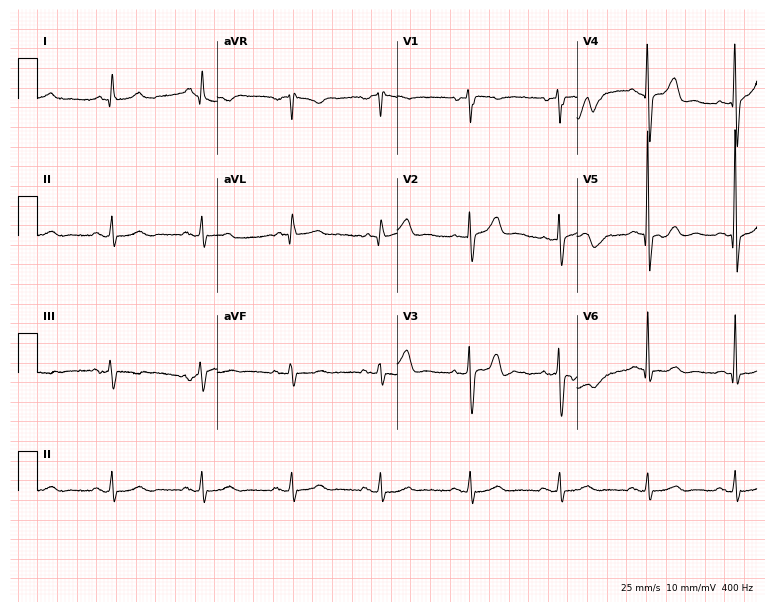
Standard 12-lead ECG recorded from a man, 70 years old (7.3-second recording at 400 Hz). None of these six findings is recorded: first-degree AV block, right bundle branch block, left bundle branch block, sinus bradycardia, atrial fibrillation, sinus tachycardia.